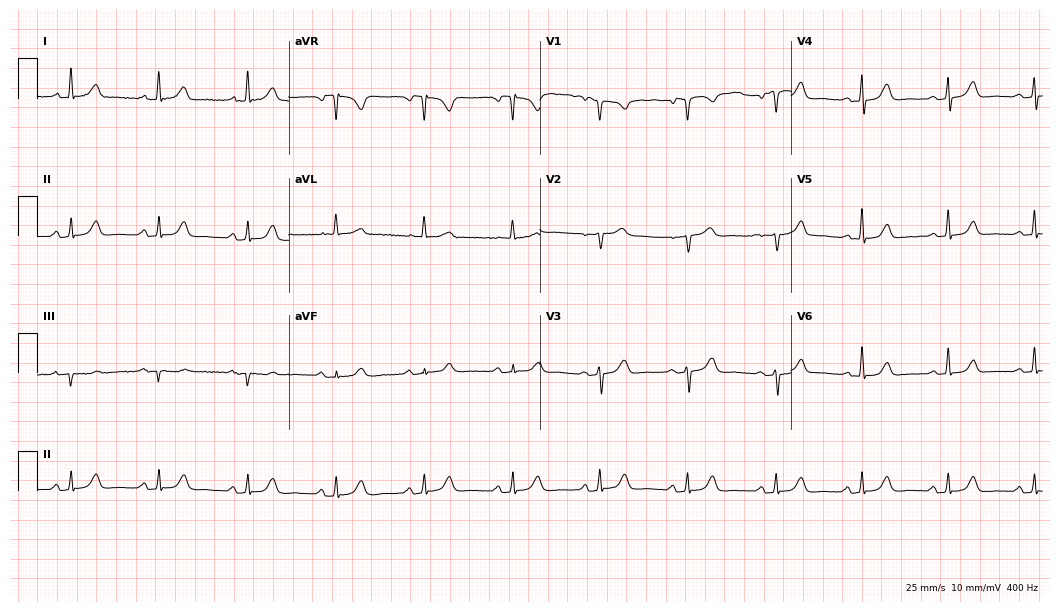
12-lead ECG from a female, 69 years old. No first-degree AV block, right bundle branch block (RBBB), left bundle branch block (LBBB), sinus bradycardia, atrial fibrillation (AF) or sinus tachycardia recorded for this tracing.